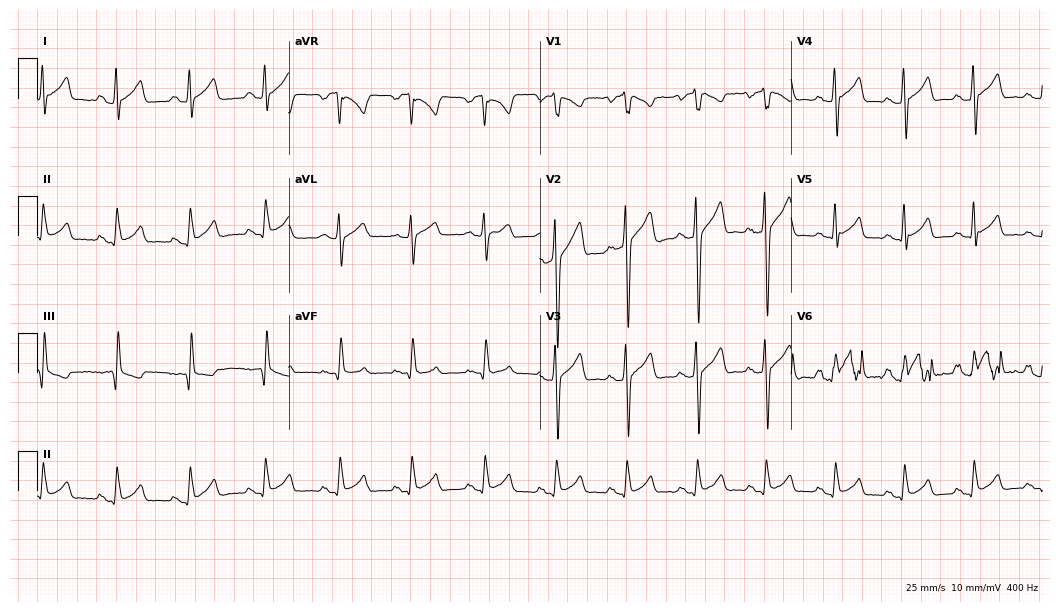
12-lead ECG from a 22-year-old male patient. No first-degree AV block, right bundle branch block, left bundle branch block, sinus bradycardia, atrial fibrillation or sinus tachycardia recorded for this tracing. Other findings, if any, are not listed.